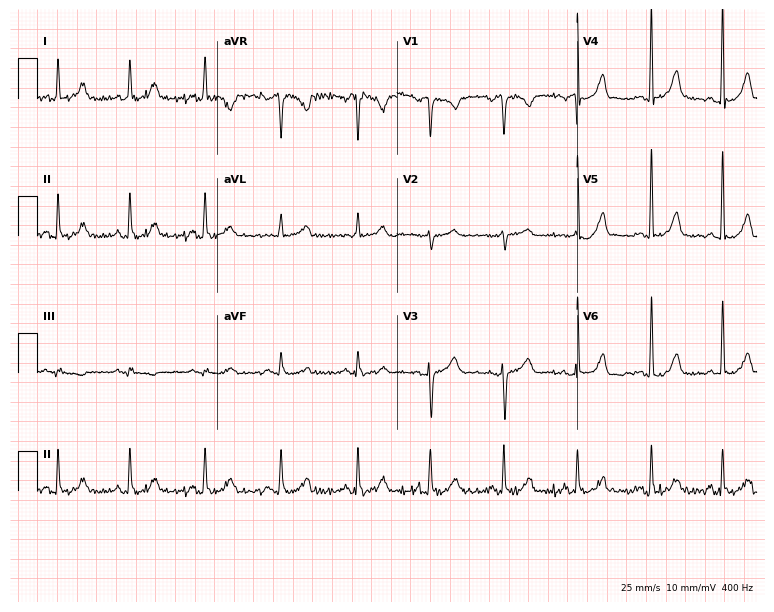
Standard 12-lead ECG recorded from a 49-year-old female patient. None of these six findings is recorded: first-degree AV block, right bundle branch block (RBBB), left bundle branch block (LBBB), sinus bradycardia, atrial fibrillation (AF), sinus tachycardia.